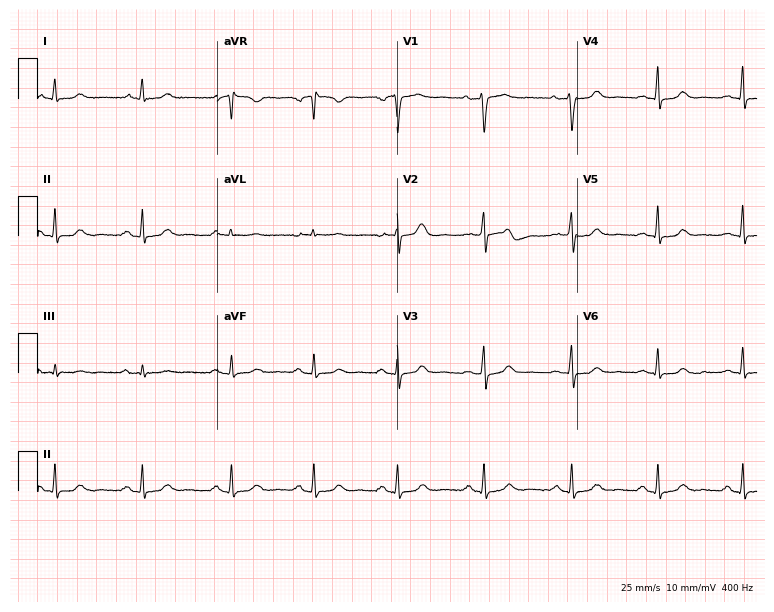
Electrocardiogram (7.3-second recording at 400 Hz), a female, 45 years old. Overall reading on record: normal ECG.